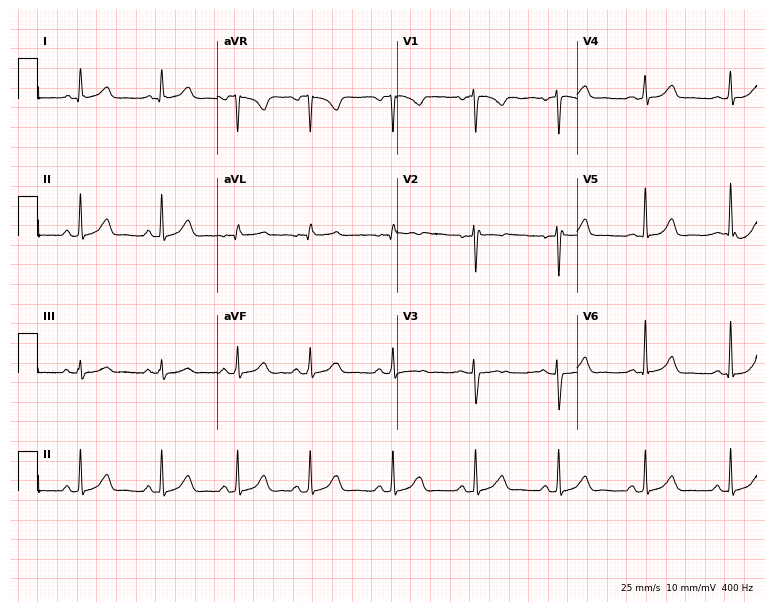
12-lead ECG (7.3-second recording at 400 Hz) from a female patient, 40 years old. Labelled as a normal ECG.